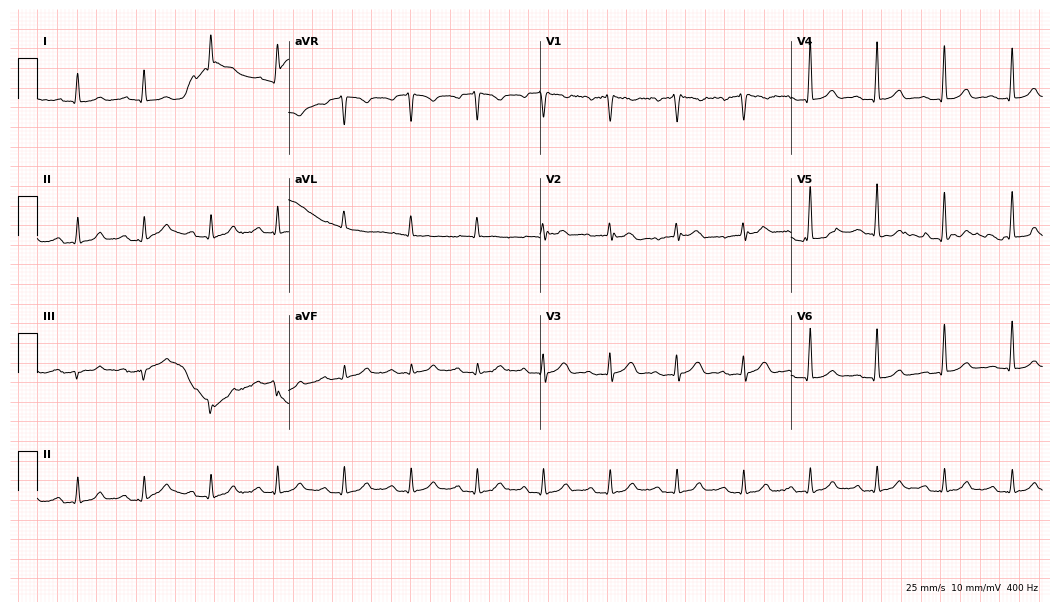
12-lead ECG from a 79-year-old male. Recorded interpretation: within normal limits.